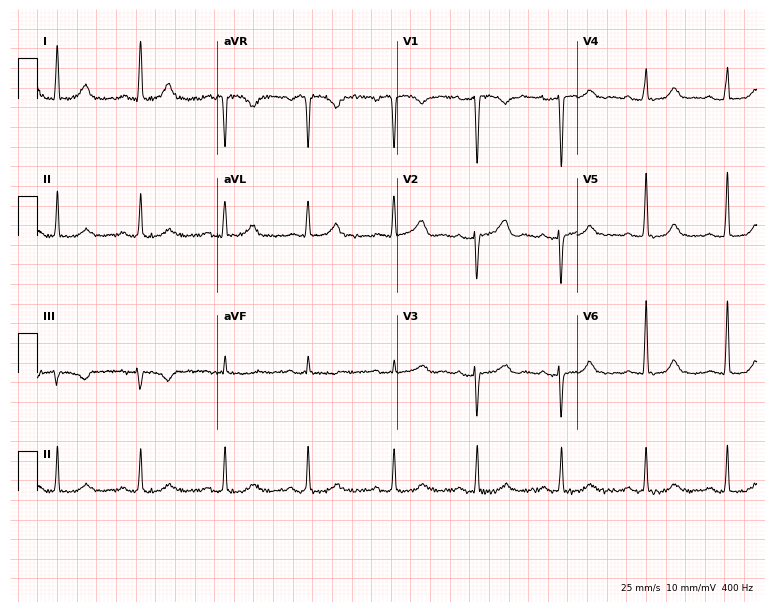
Resting 12-lead electrocardiogram. Patient: a 48-year-old female. None of these six findings is recorded: first-degree AV block, right bundle branch block, left bundle branch block, sinus bradycardia, atrial fibrillation, sinus tachycardia.